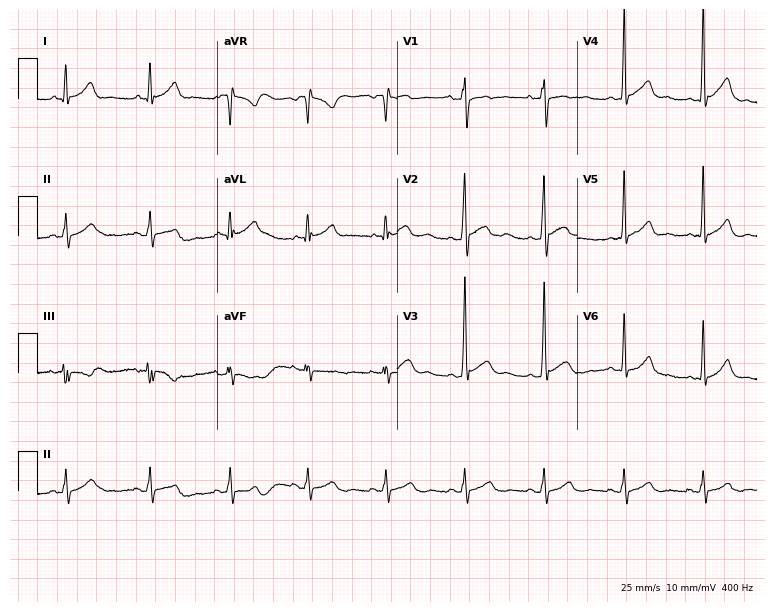
Standard 12-lead ECG recorded from a 21-year-old male (7.3-second recording at 400 Hz). Read as a normal ECG.